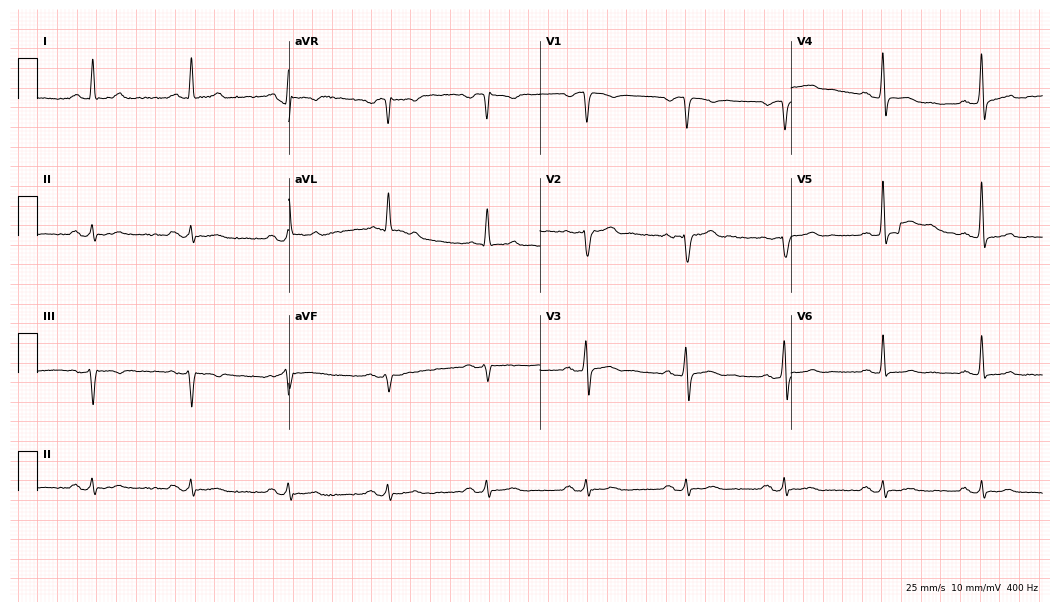
Standard 12-lead ECG recorded from a male, 70 years old. None of these six findings is recorded: first-degree AV block, right bundle branch block, left bundle branch block, sinus bradycardia, atrial fibrillation, sinus tachycardia.